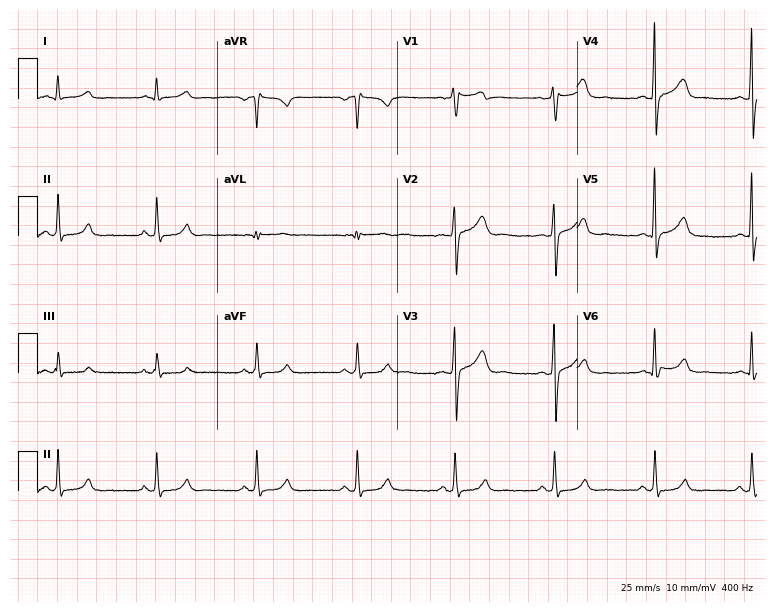
Resting 12-lead electrocardiogram. Patient: a 37-year-old male. Read as a normal ECG.